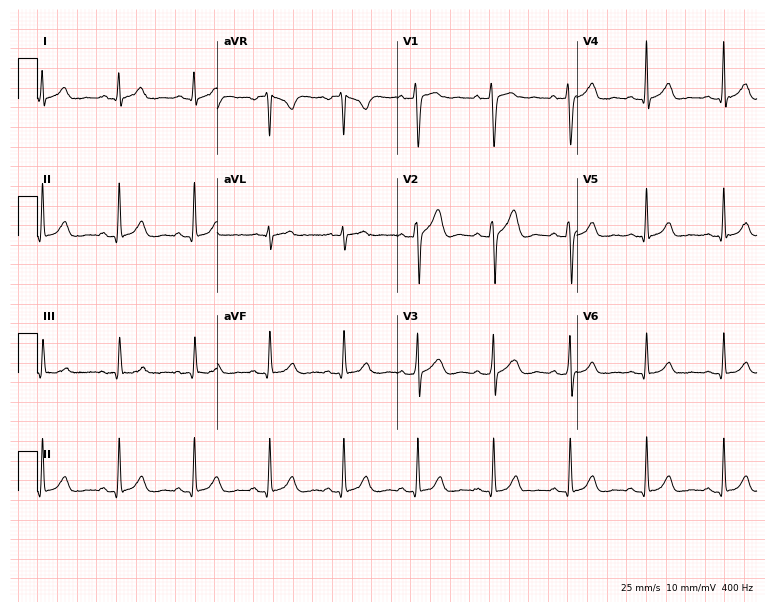
Resting 12-lead electrocardiogram. Patient: a man, 35 years old. Read as a normal ECG.